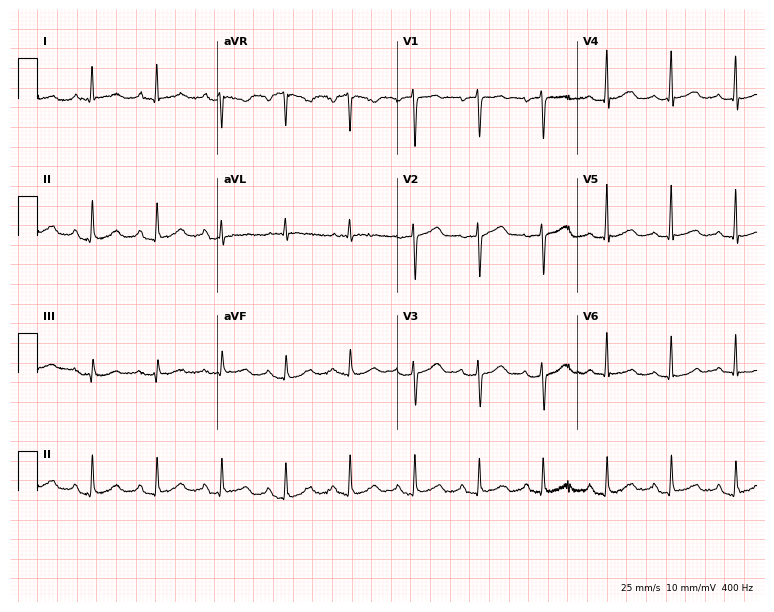
12-lead ECG from a 68-year-old woman (7.3-second recording at 400 Hz). Recorded interpretation: within normal limits.